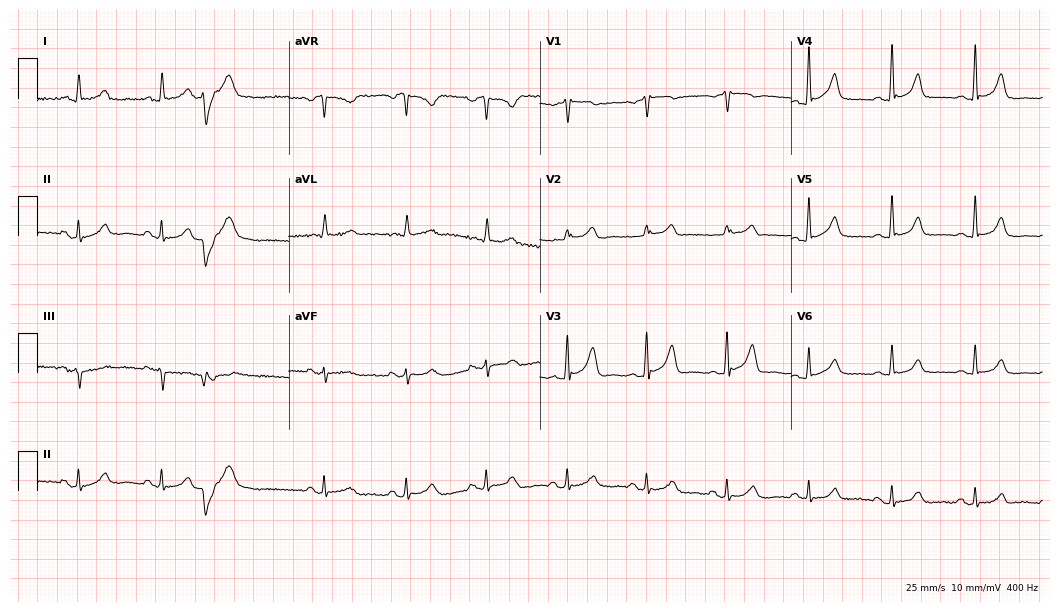
12-lead ECG from a 71-year-old woman (10.2-second recording at 400 Hz). No first-degree AV block, right bundle branch block (RBBB), left bundle branch block (LBBB), sinus bradycardia, atrial fibrillation (AF) or sinus tachycardia recorded for this tracing. Only these six findings were labelled.